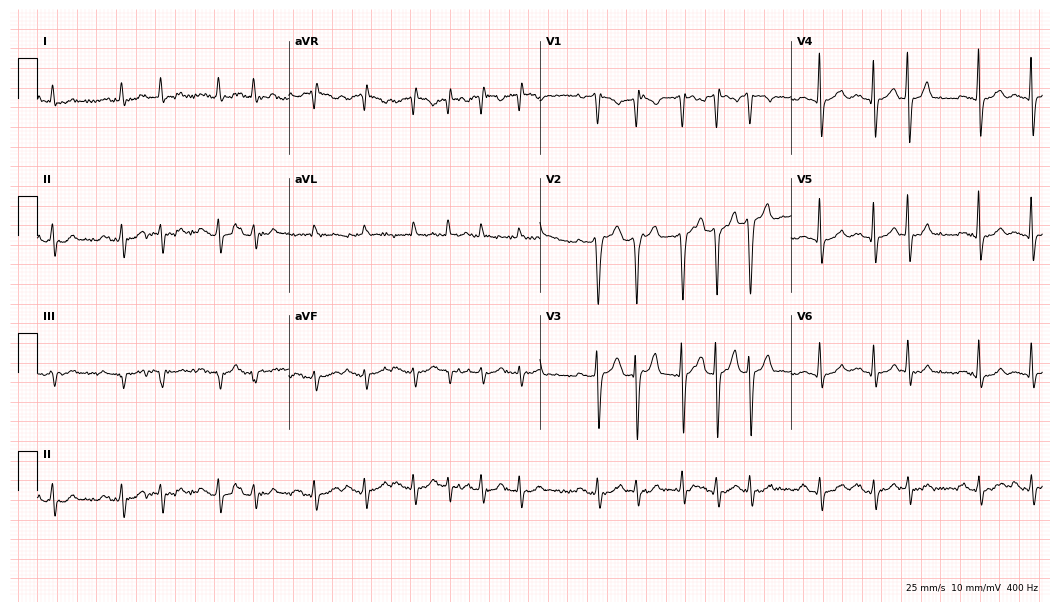
Resting 12-lead electrocardiogram (10.2-second recording at 400 Hz). Patient: a male, 84 years old. None of these six findings is recorded: first-degree AV block, right bundle branch block, left bundle branch block, sinus bradycardia, atrial fibrillation, sinus tachycardia. Findings outside these six are not listed.